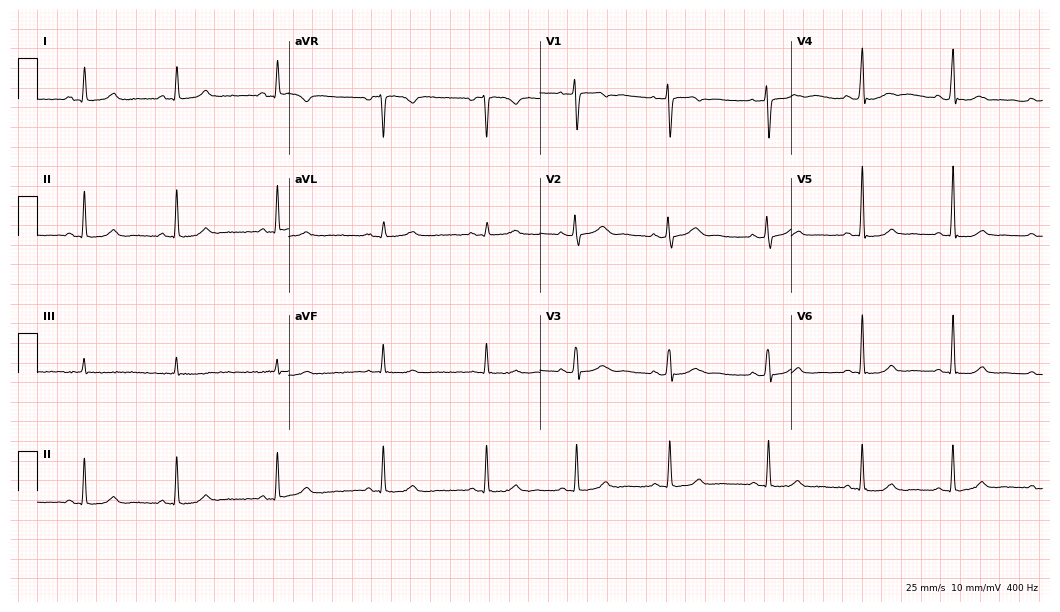
ECG — a 33-year-old woman. Labelled as a normal ECG.